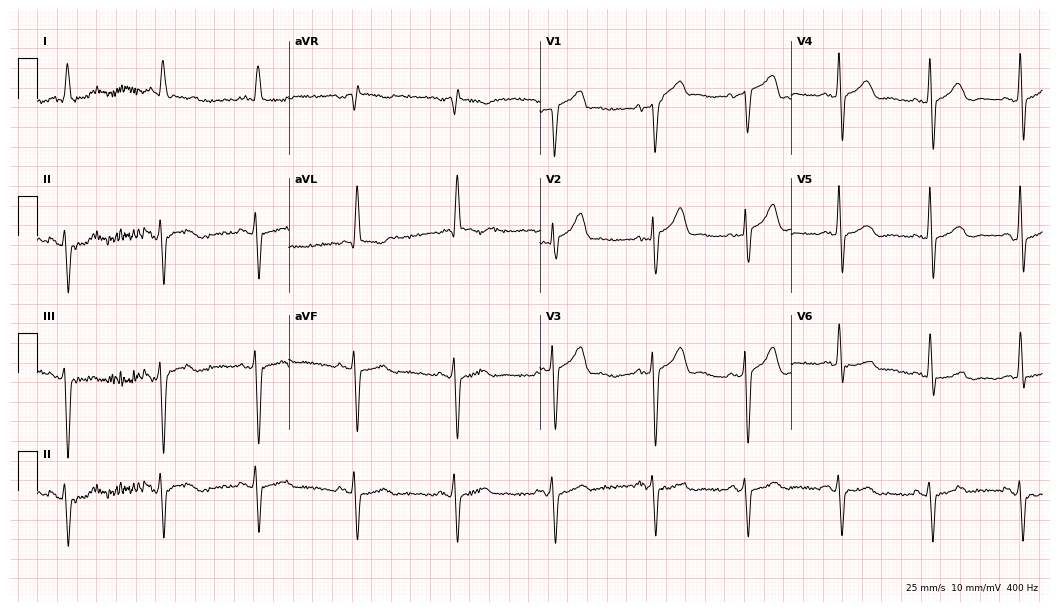
12-lead ECG from a male, 75 years old. Findings include left bundle branch block (LBBB).